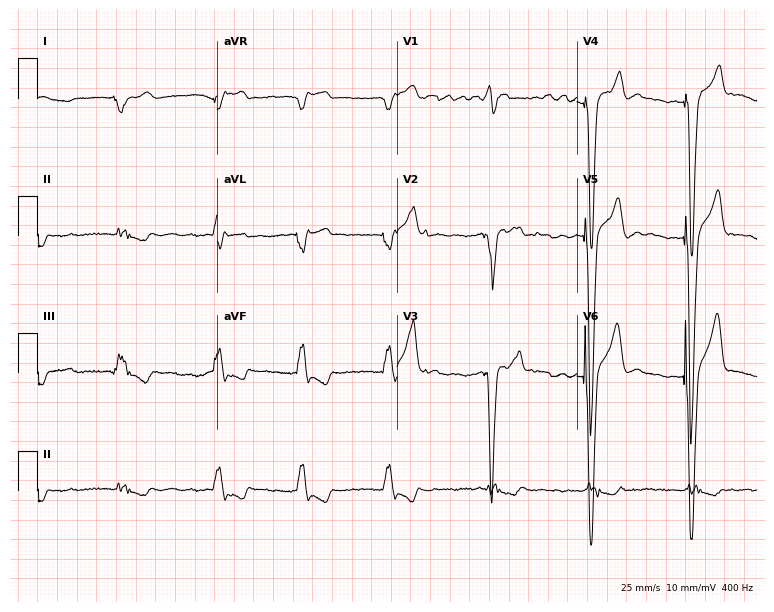
Standard 12-lead ECG recorded from a 64-year-old male patient. None of these six findings is recorded: first-degree AV block, right bundle branch block, left bundle branch block, sinus bradycardia, atrial fibrillation, sinus tachycardia. Other findings, if any, are not listed.